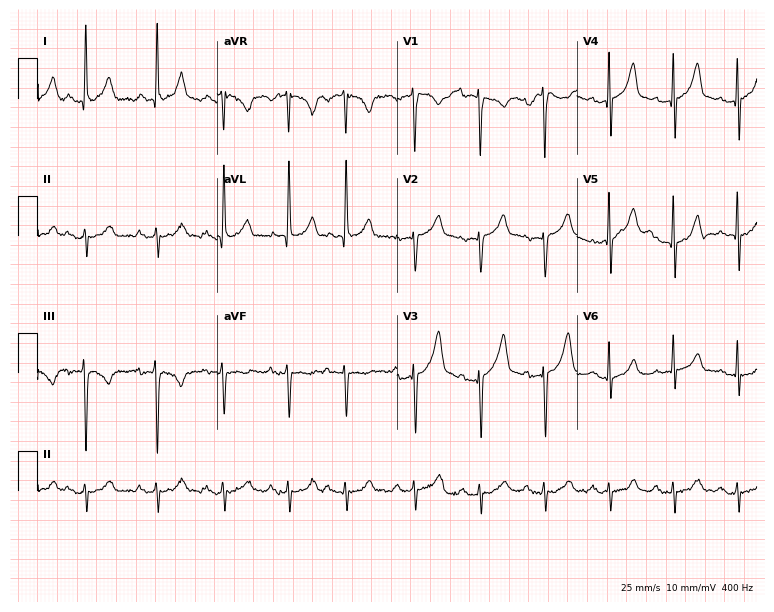
12-lead ECG from a 78-year-old male. Labelled as a normal ECG.